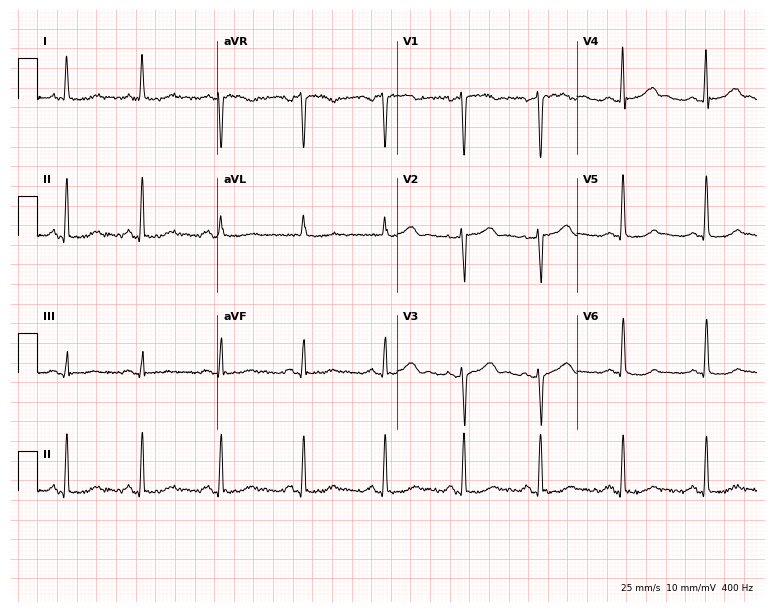
Electrocardiogram (7.3-second recording at 400 Hz), a 40-year-old woman. Of the six screened findings (first-degree AV block, right bundle branch block (RBBB), left bundle branch block (LBBB), sinus bradycardia, atrial fibrillation (AF), sinus tachycardia), none is recorded.